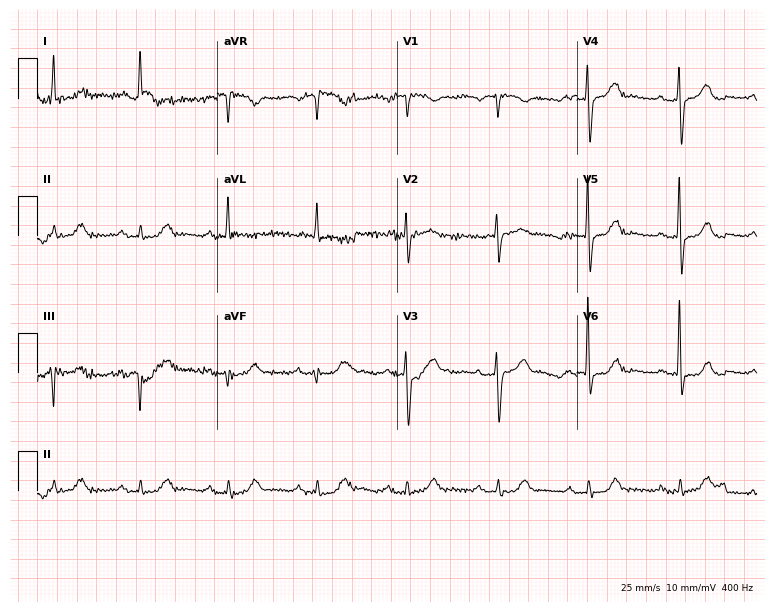
Standard 12-lead ECG recorded from a 79-year-old male patient (7.3-second recording at 400 Hz). Read as a normal ECG.